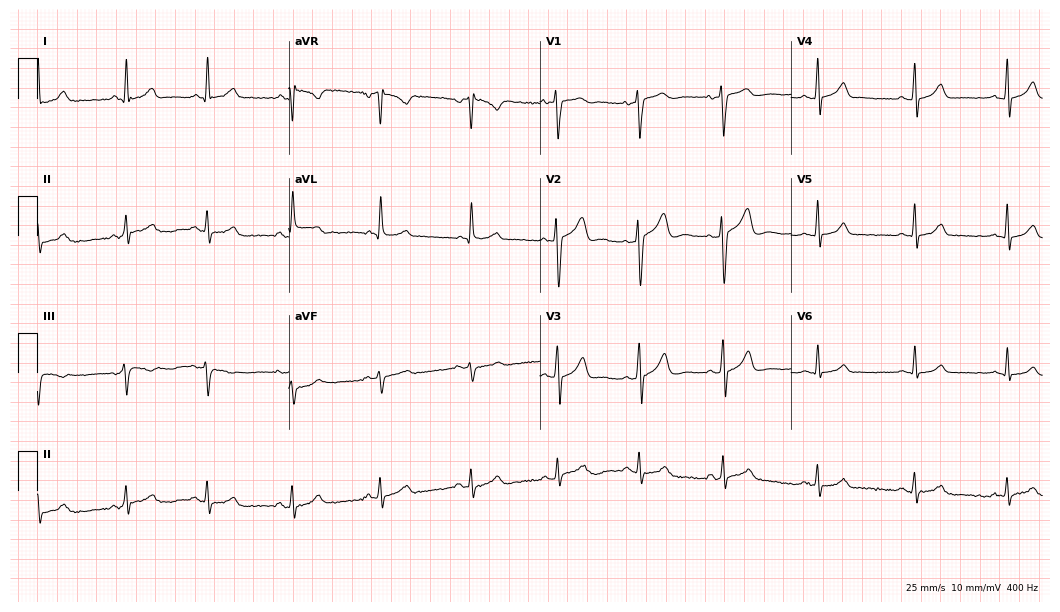
ECG — a 41-year-old woman. Labelled as a normal ECG.